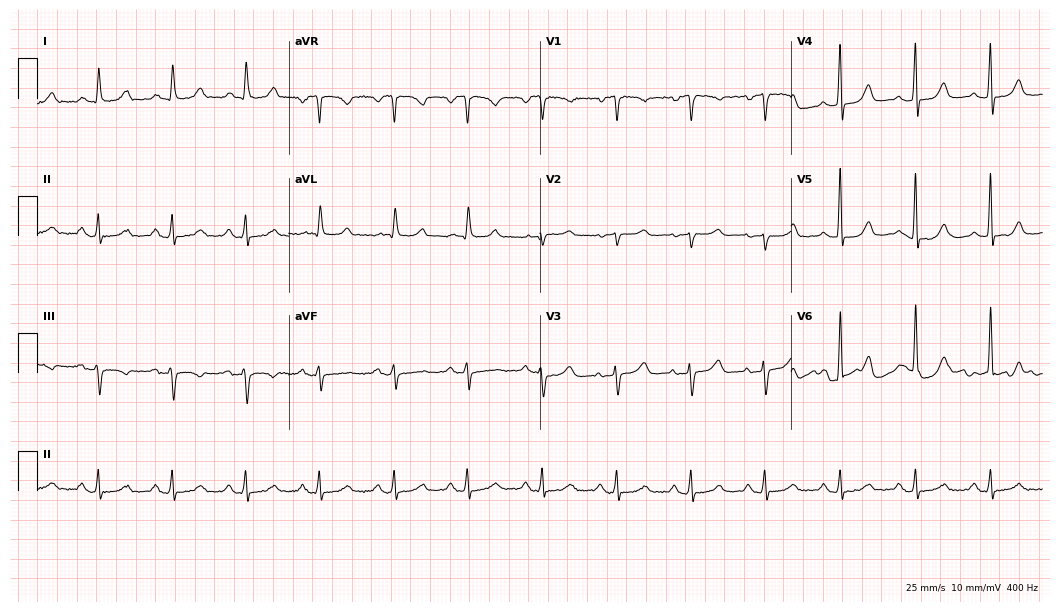
12-lead ECG from a 55-year-old female patient. Recorded interpretation: within normal limits.